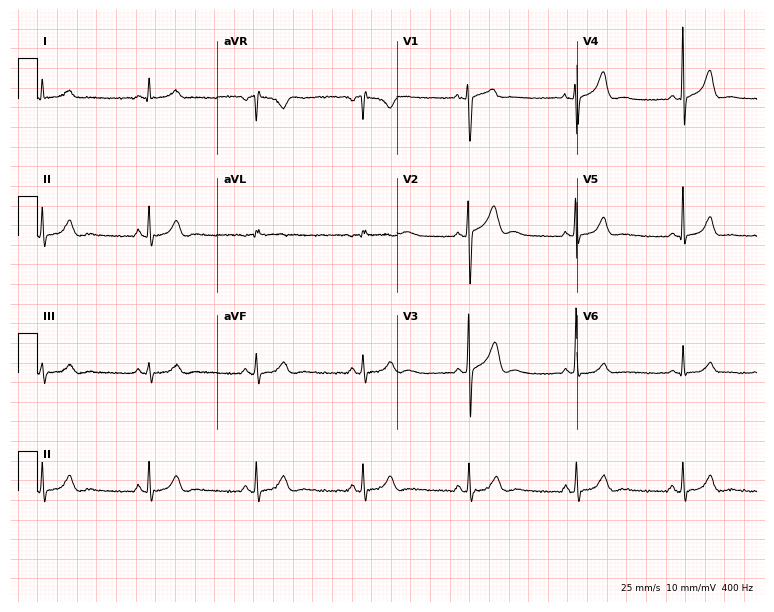
Resting 12-lead electrocardiogram. Patient: a man, 42 years old. None of these six findings is recorded: first-degree AV block, right bundle branch block, left bundle branch block, sinus bradycardia, atrial fibrillation, sinus tachycardia.